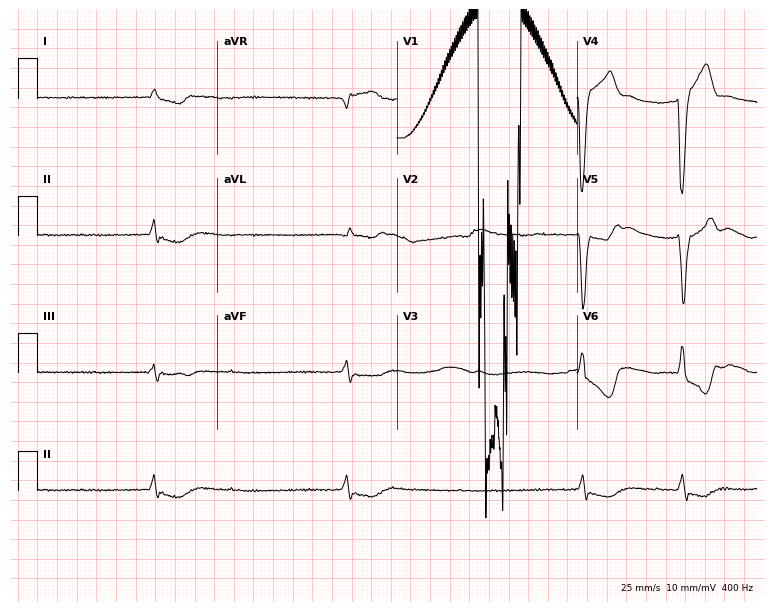
ECG (7.3-second recording at 400 Hz) — an 82-year-old female. Findings include atrial fibrillation (AF).